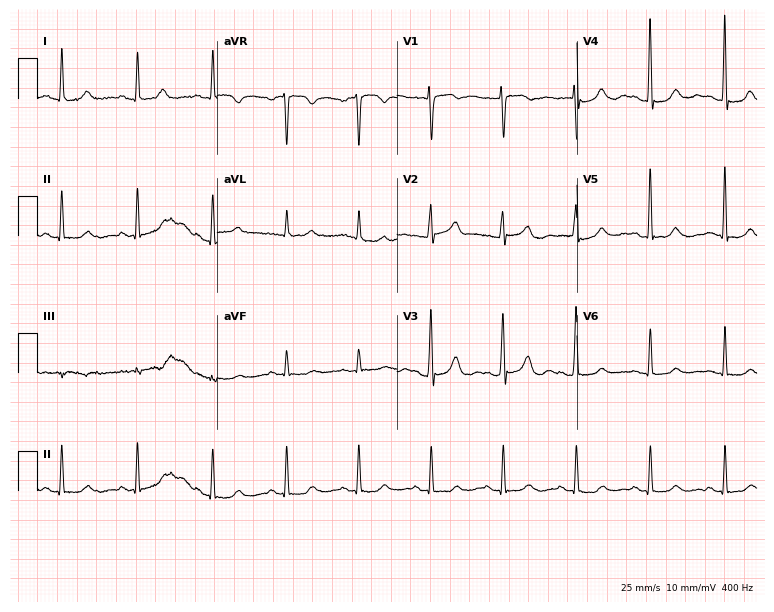
12-lead ECG from a 78-year-old female patient. Labelled as a normal ECG.